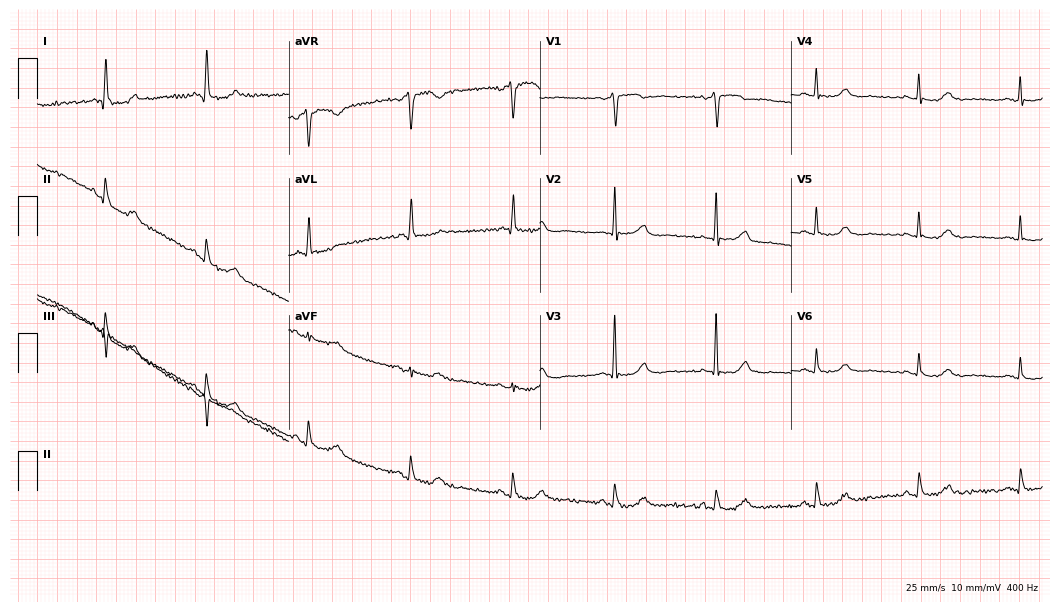
ECG — a 55-year-old female patient. Labelled as a normal ECG.